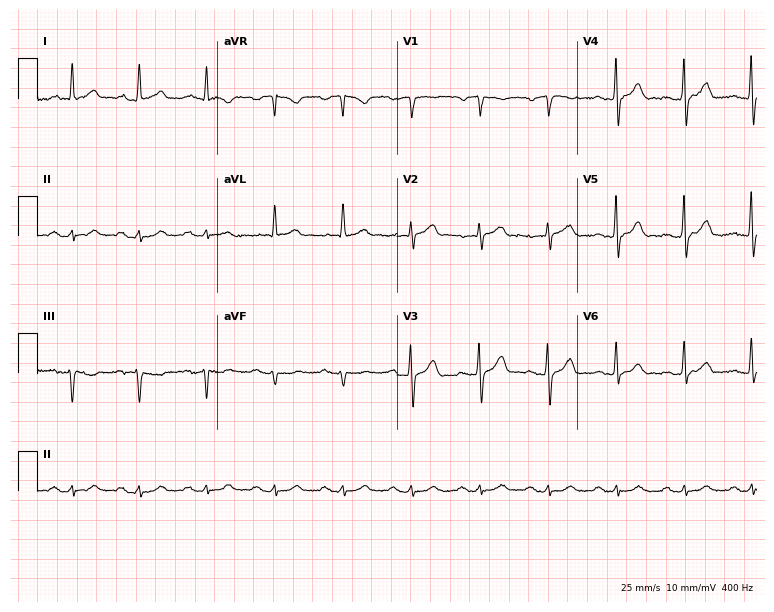
Electrocardiogram, a 76-year-old man. Overall reading on record: normal ECG.